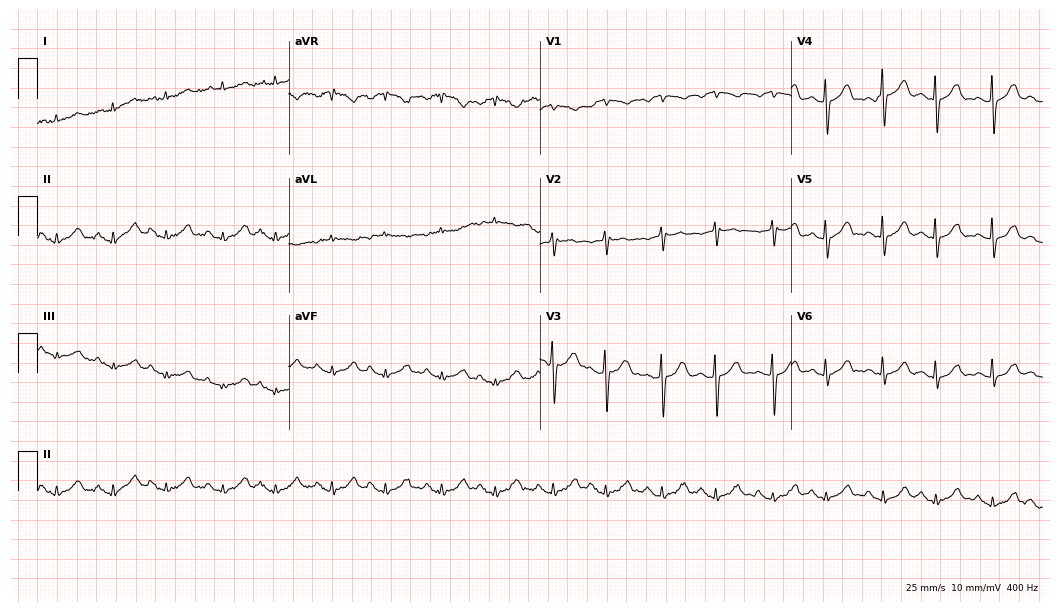
ECG — a man, 83 years old. Screened for six findings — first-degree AV block, right bundle branch block (RBBB), left bundle branch block (LBBB), sinus bradycardia, atrial fibrillation (AF), sinus tachycardia — none is recorded. Other findings, if any, are not listed.